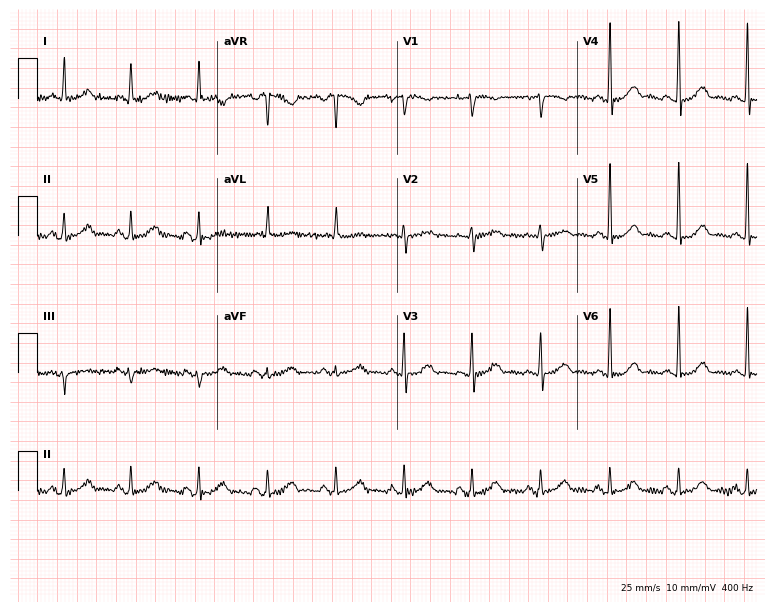
Electrocardiogram, a female, 71 years old. Overall reading on record: normal ECG.